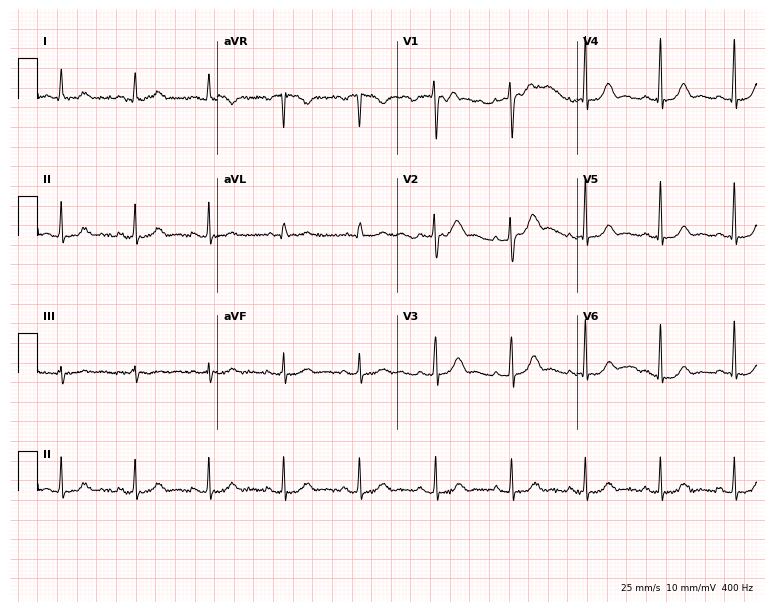
Electrocardiogram (7.3-second recording at 400 Hz), a 55-year-old woman. Of the six screened findings (first-degree AV block, right bundle branch block, left bundle branch block, sinus bradycardia, atrial fibrillation, sinus tachycardia), none is recorded.